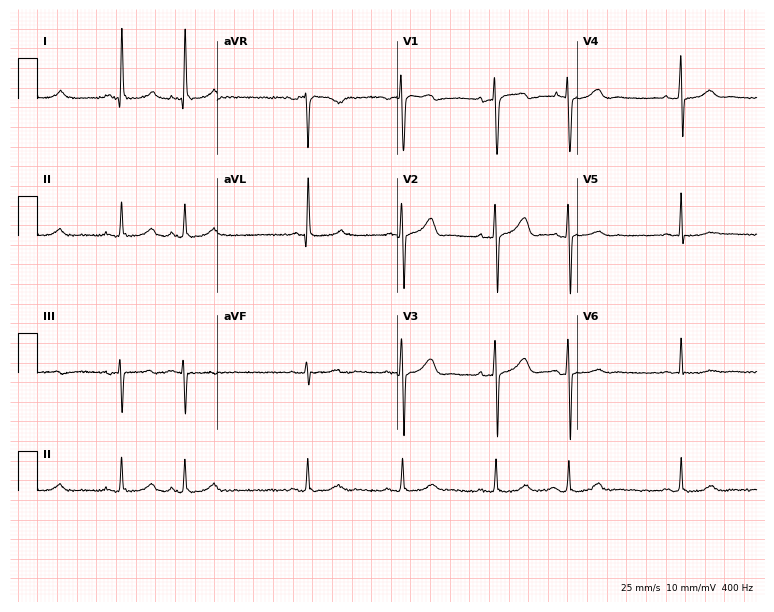
Electrocardiogram, a female patient, 65 years old. Overall reading on record: normal ECG.